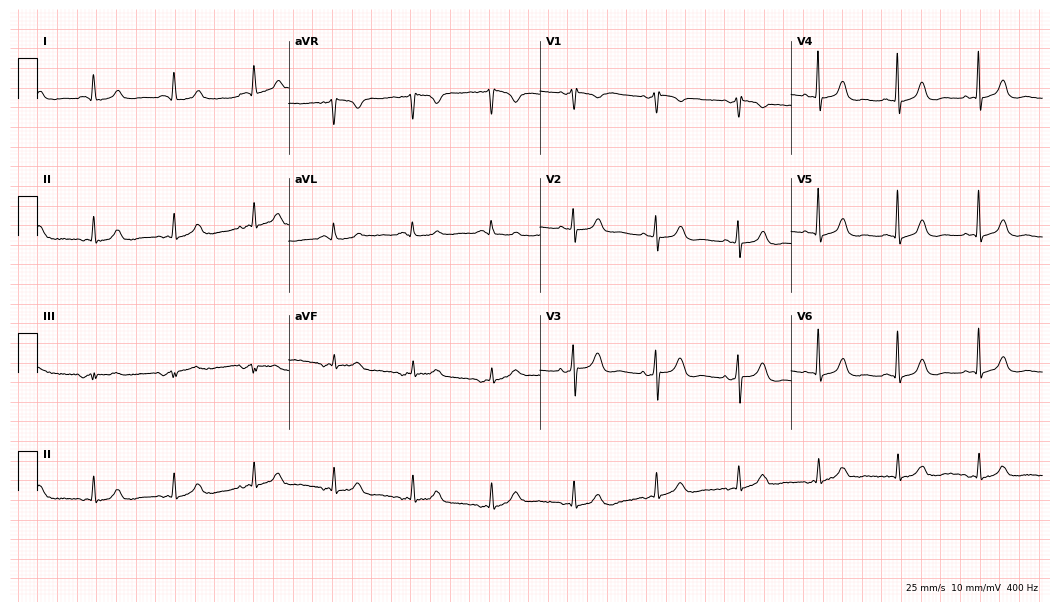
12-lead ECG from a 75-year-old woman (10.2-second recording at 400 Hz). No first-degree AV block, right bundle branch block (RBBB), left bundle branch block (LBBB), sinus bradycardia, atrial fibrillation (AF) or sinus tachycardia recorded for this tracing. Findings outside these six are not listed.